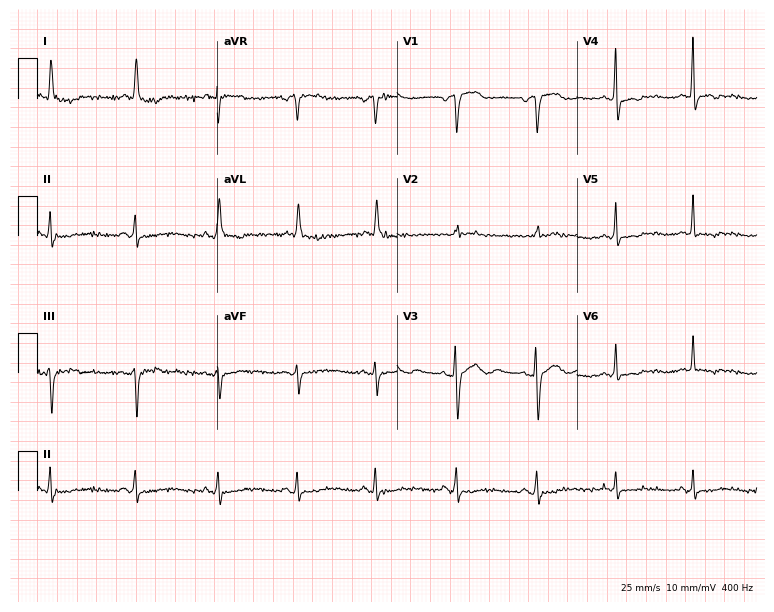
Standard 12-lead ECG recorded from a 79-year-old female. None of these six findings is recorded: first-degree AV block, right bundle branch block (RBBB), left bundle branch block (LBBB), sinus bradycardia, atrial fibrillation (AF), sinus tachycardia.